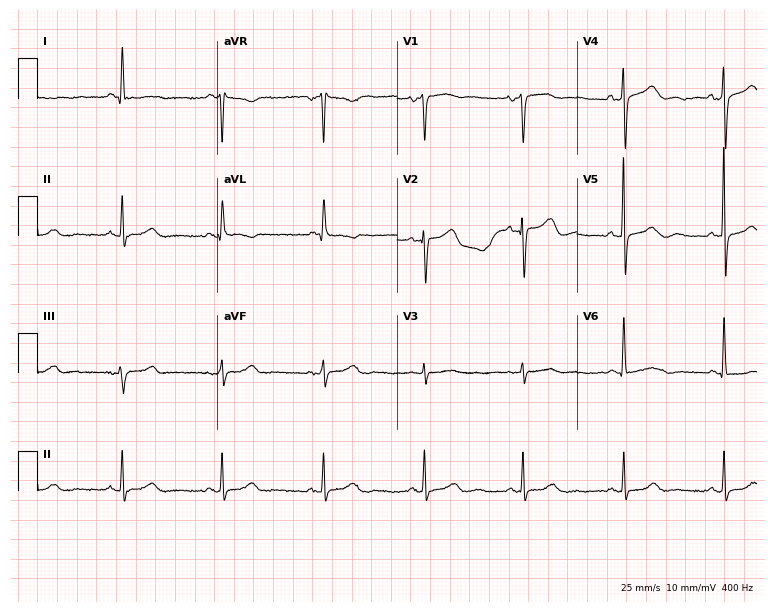
Electrocardiogram, a woman, 70 years old. Of the six screened findings (first-degree AV block, right bundle branch block (RBBB), left bundle branch block (LBBB), sinus bradycardia, atrial fibrillation (AF), sinus tachycardia), none is recorded. Findings outside these six are not listed.